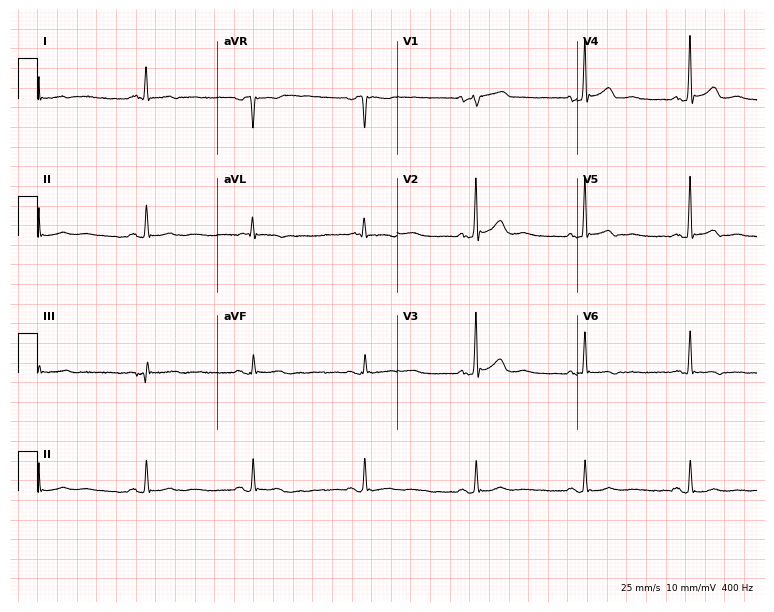
Standard 12-lead ECG recorded from a 62-year-old man. None of these six findings is recorded: first-degree AV block, right bundle branch block (RBBB), left bundle branch block (LBBB), sinus bradycardia, atrial fibrillation (AF), sinus tachycardia. Findings outside these six are not listed.